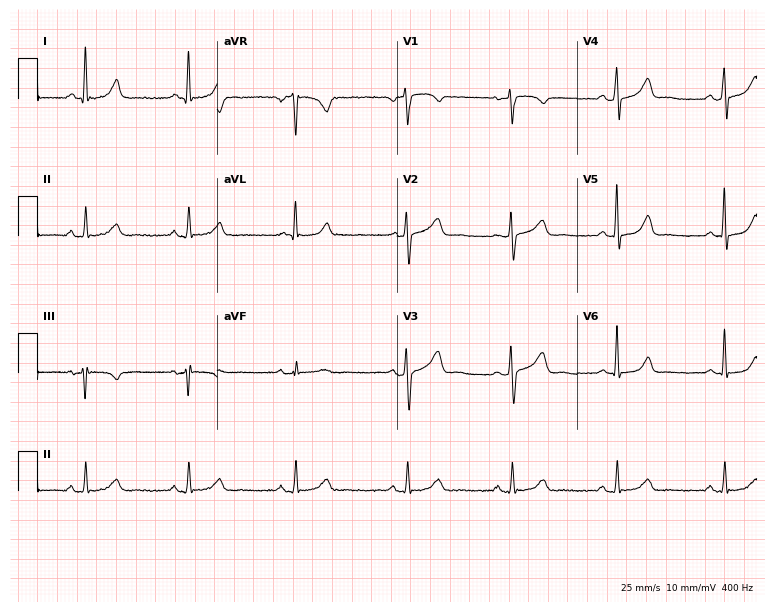
Standard 12-lead ECG recorded from a 41-year-old female patient. Read as a normal ECG.